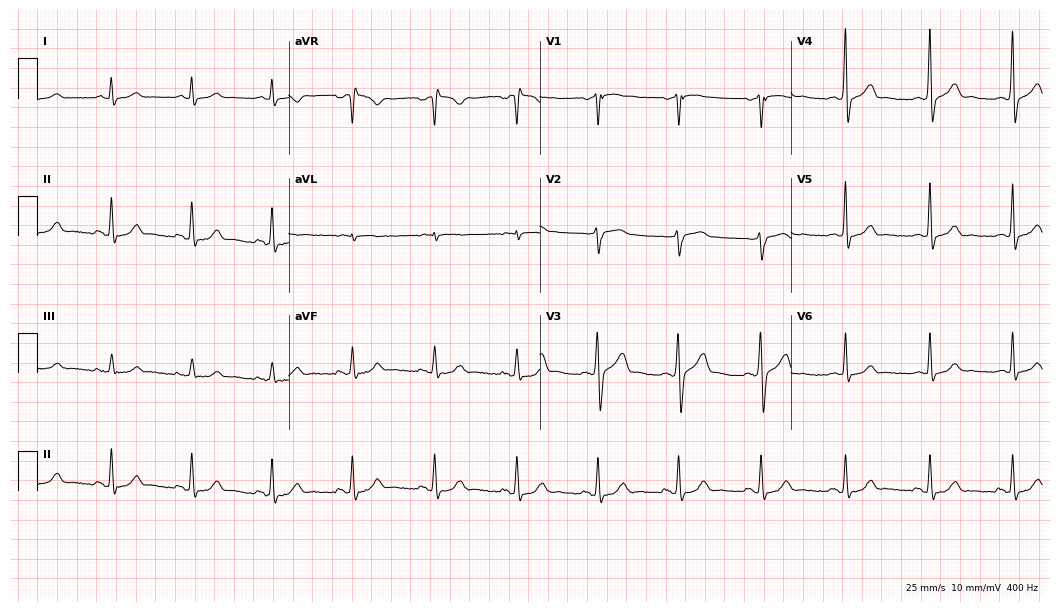
12-lead ECG from a 58-year-old male patient. Recorded interpretation: within normal limits.